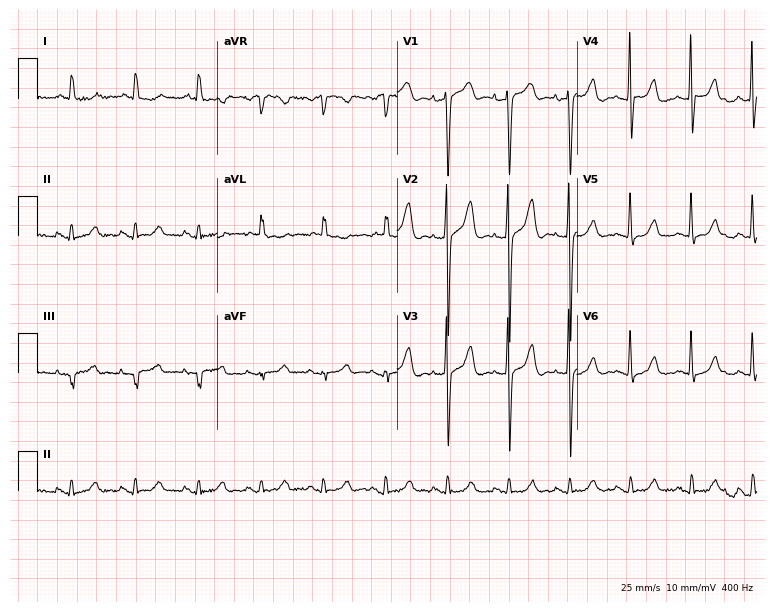
12-lead ECG from a woman, 83 years old. Screened for six findings — first-degree AV block, right bundle branch block, left bundle branch block, sinus bradycardia, atrial fibrillation, sinus tachycardia — none is recorded.